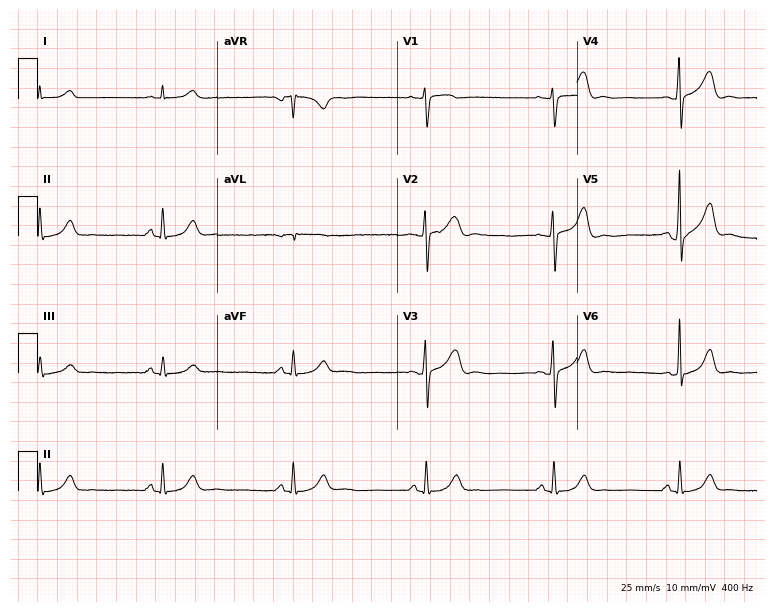
ECG (7.3-second recording at 400 Hz) — a 54-year-old male. Findings include sinus bradycardia (a sinus rate of 50 beats per minute or less).